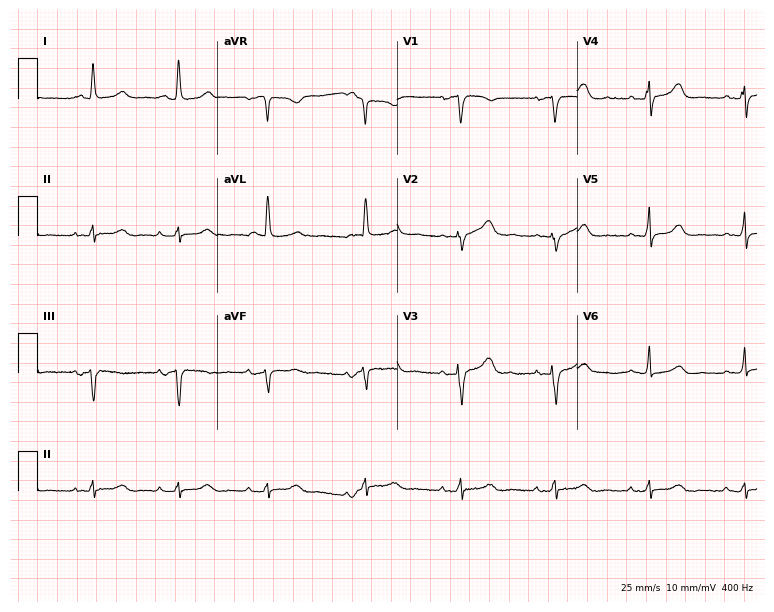
Resting 12-lead electrocardiogram (7.3-second recording at 400 Hz). Patient: a 70-year-old female. Read as a normal ECG.